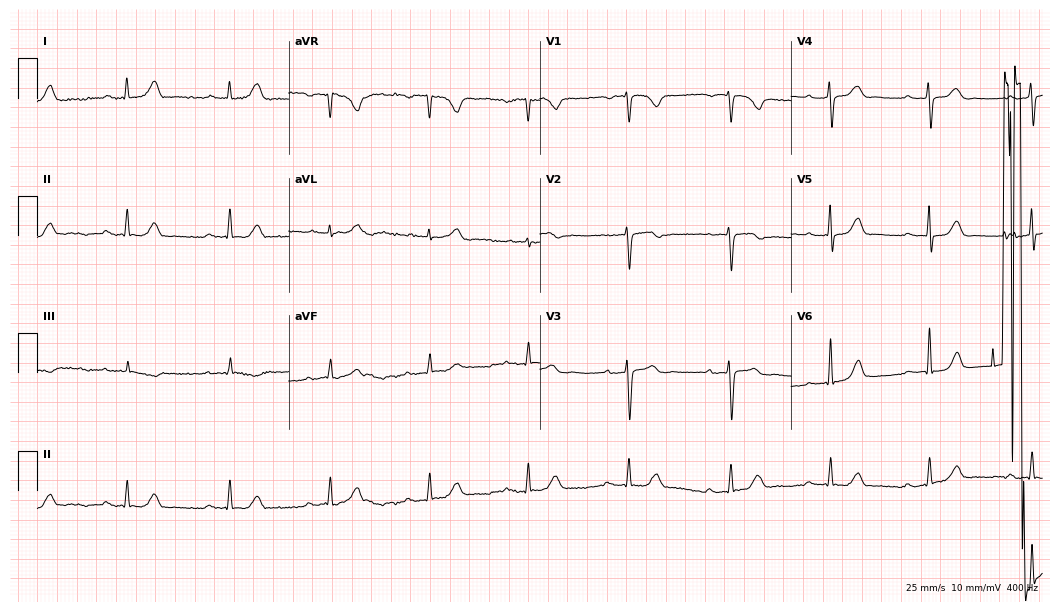
ECG — a 73-year-old woman. Screened for six findings — first-degree AV block, right bundle branch block, left bundle branch block, sinus bradycardia, atrial fibrillation, sinus tachycardia — none is recorded. Other findings, if any, are not listed.